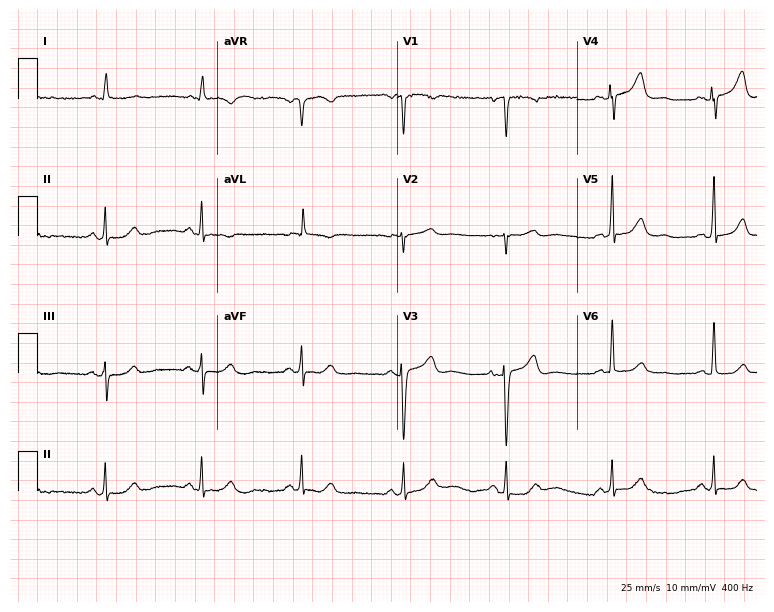
ECG — a 66-year-old female. Labelled as a normal ECG.